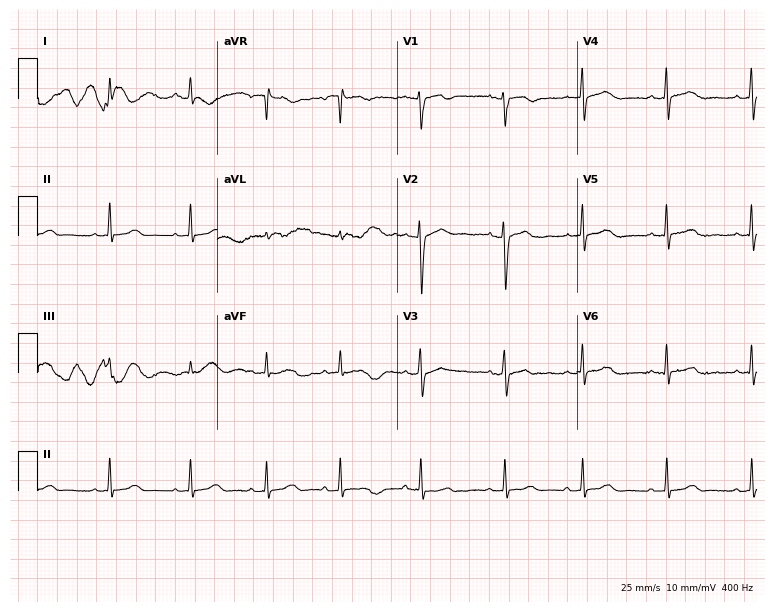
ECG (7.3-second recording at 400 Hz) — a 21-year-old woman. Screened for six findings — first-degree AV block, right bundle branch block, left bundle branch block, sinus bradycardia, atrial fibrillation, sinus tachycardia — none is recorded.